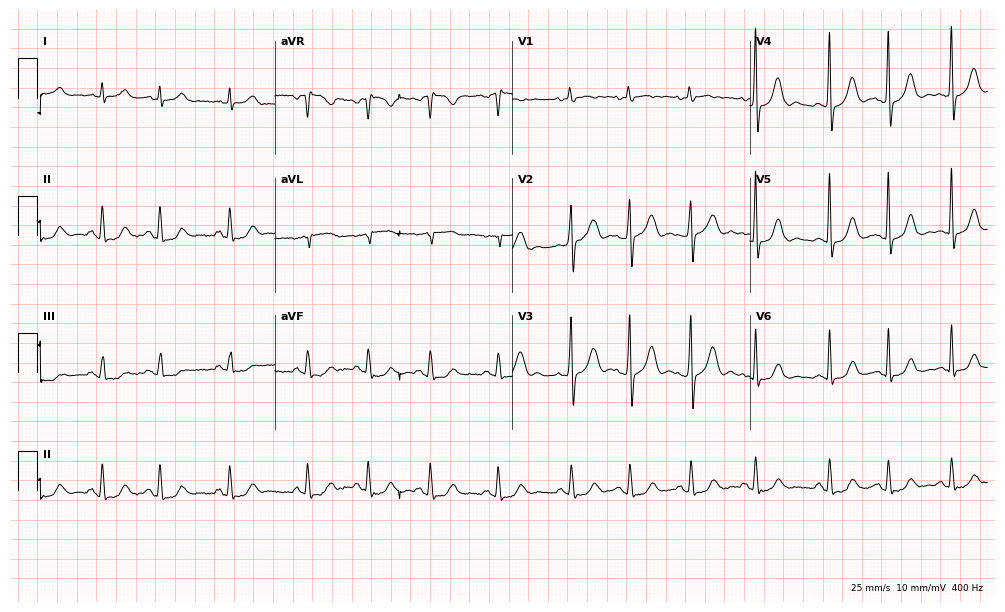
12-lead ECG from a 57-year-old female. No first-degree AV block, right bundle branch block, left bundle branch block, sinus bradycardia, atrial fibrillation or sinus tachycardia recorded for this tracing. Findings outside these six are not listed.